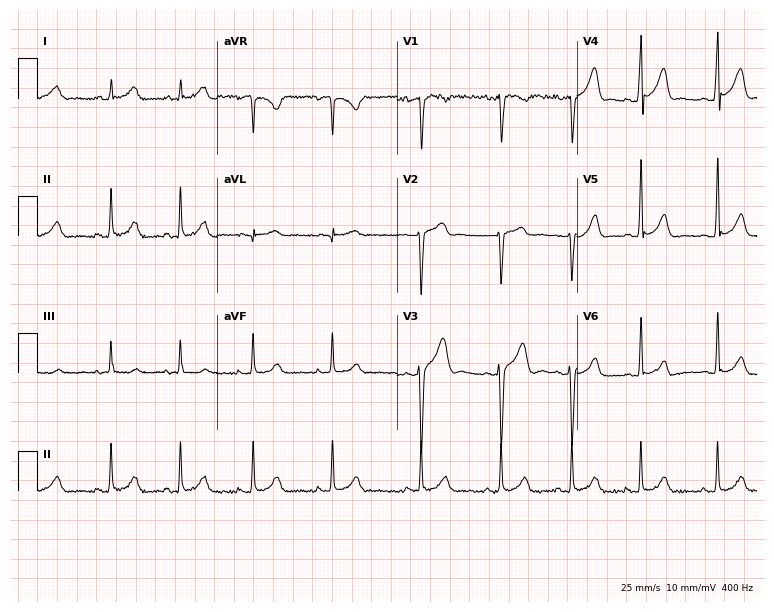
12-lead ECG (7.3-second recording at 400 Hz) from an 18-year-old male patient. Labelled as a normal ECG.